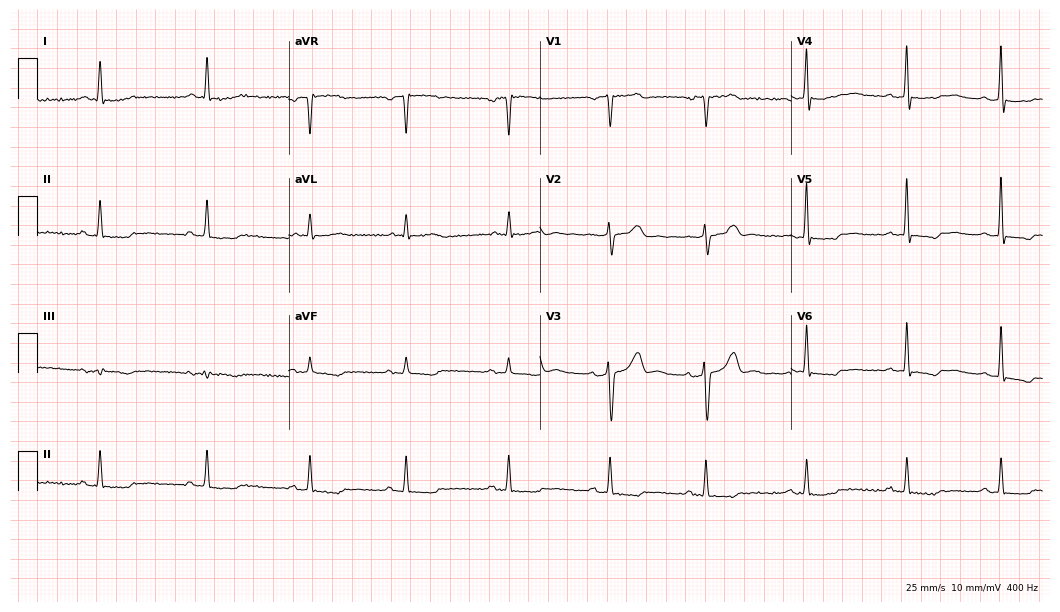
Electrocardiogram (10.2-second recording at 400 Hz), a 63-year-old female patient. Of the six screened findings (first-degree AV block, right bundle branch block (RBBB), left bundle branch block (LBBB), sinus bradycardia, atrial fibrillation (AF), sinus tachycardia), none is recorded.